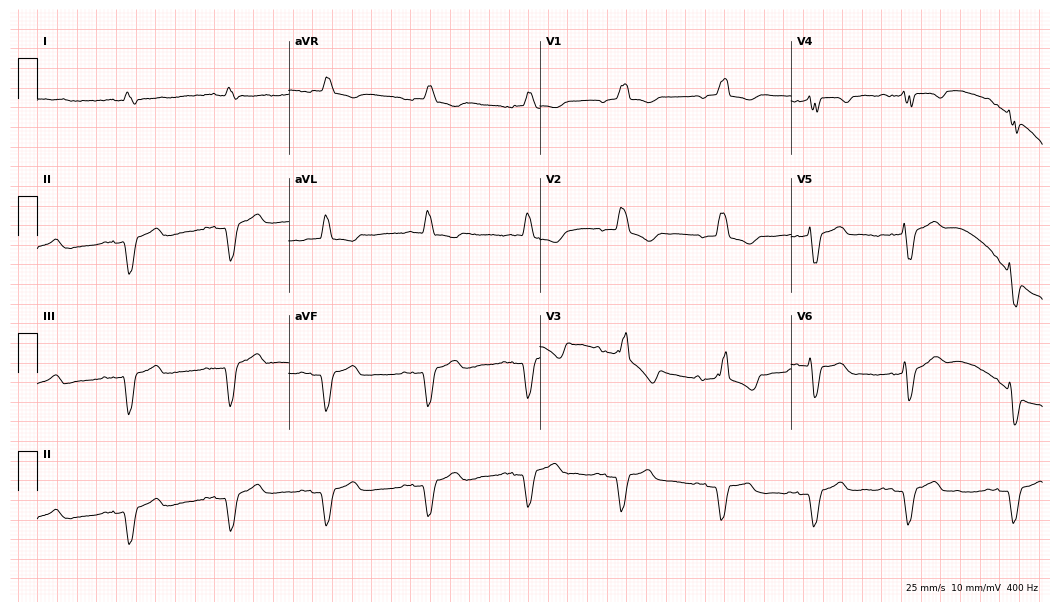
Electrocardiogram (10.2-second recording at 400 Hz), a man, 79 years old. Interpretation includes first-degree AV block, right bundle branch block.